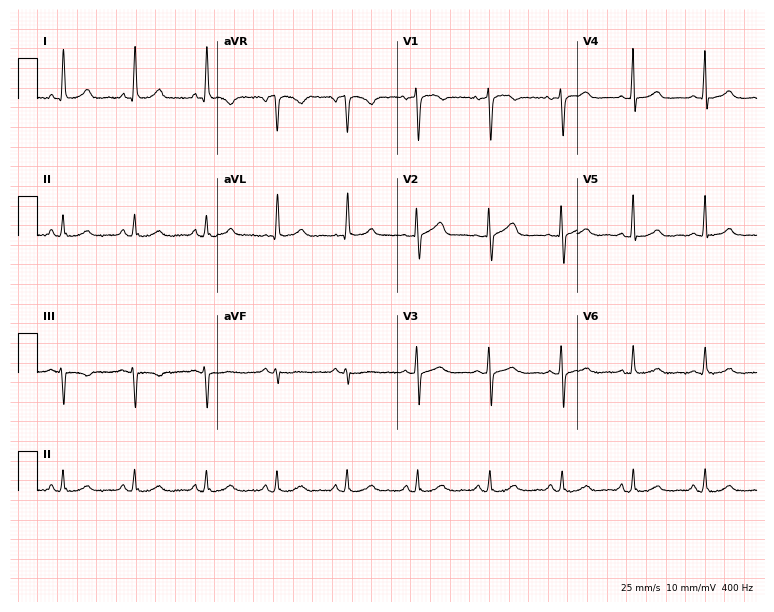
ECG — a female patient, 69 years old. Labelled as a normal ECG.